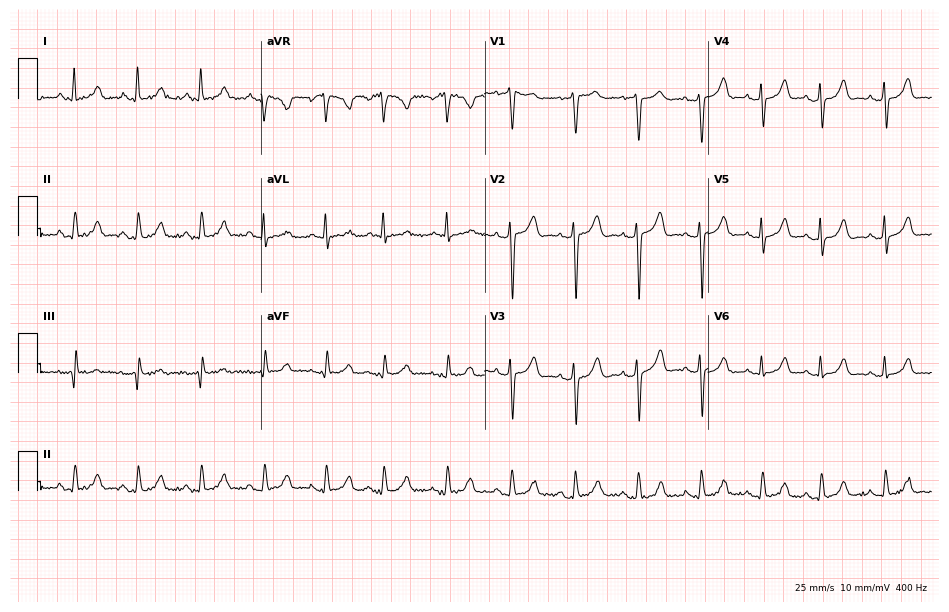
12-lead ECG from a woman, 76 years old (9.1-second recording at 400 Hz). Recorded interpretation: within normal limits.